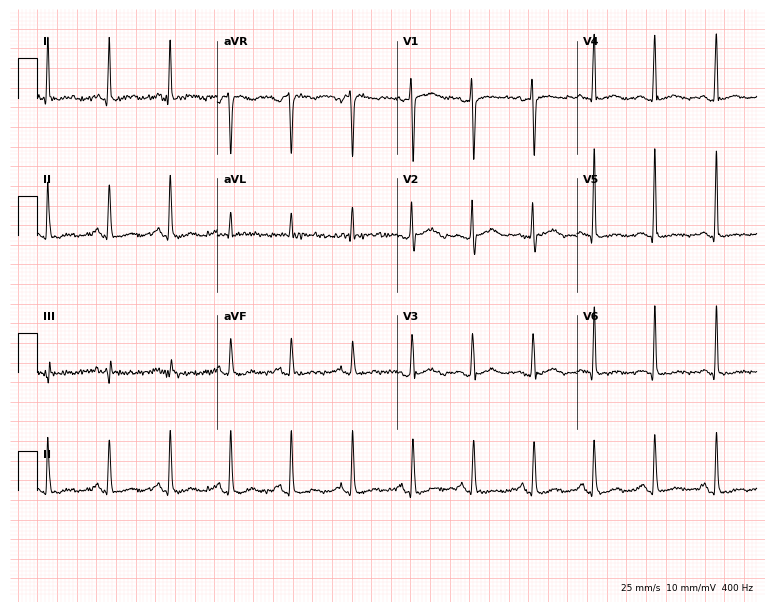
Resting 12-lead electrocardiogram. Patient: a female, 48 years old. None of these six findings is recorded: first-degree AV block, right bundle branch block, left bundle branch block, sinus bradycardia, atrial fibrillation, sinus tachycardia. Findings outside these six are not listed.